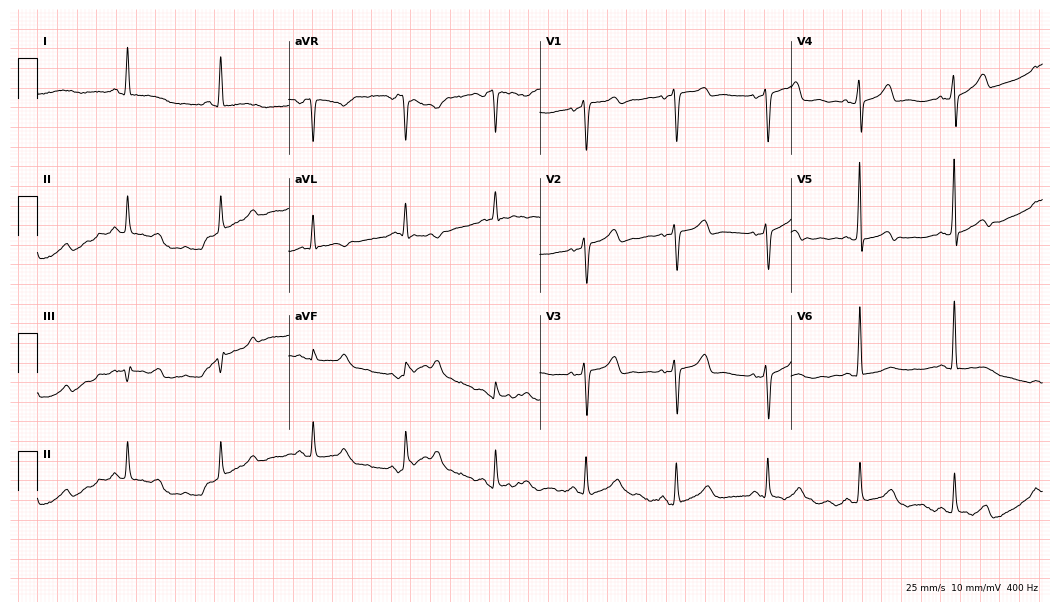
ECG (10.2-second recording at 400 Hz) — a 58-year-old female. Screened for six findings — first-degree AV block, right bundle branch block (RBBB), left bundle branch block (LBBB), sinus bradycardia, atrial fibrillation (AF), sinus tachycardia — none is recorded.